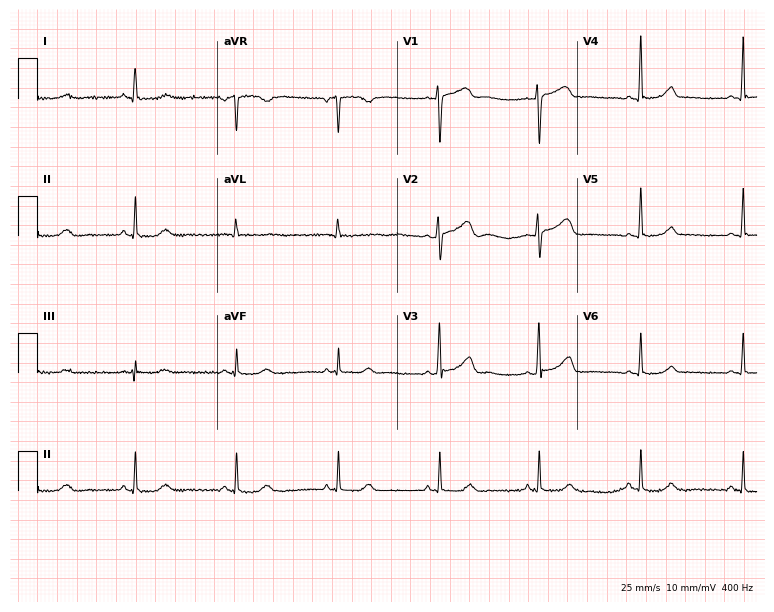
Electrocardiogram, a 46-year-old woman. Of the six screened findings (first-degree AV block, right bundle branch block, left bundle branch block, sinus bradycardia, atrial fibrillation, sinus tachycardia), none is recorded.